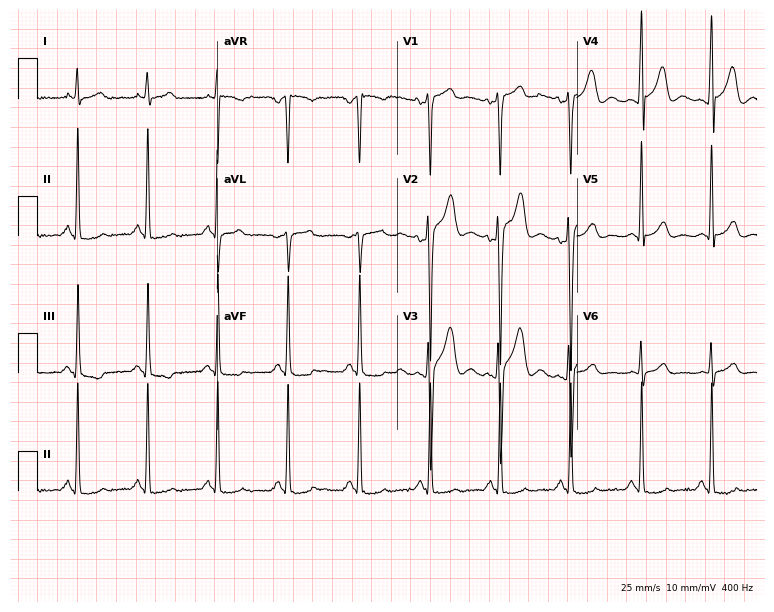
Electrocardiogram, a 44-year-old man. Of the six screened findings (first-degree AV block, right bundle branch block, left bundle branch block, sinus bradycardia, atrial fibrillation, sinus tachycardia), none is recorded. Only these six findings were labelled.